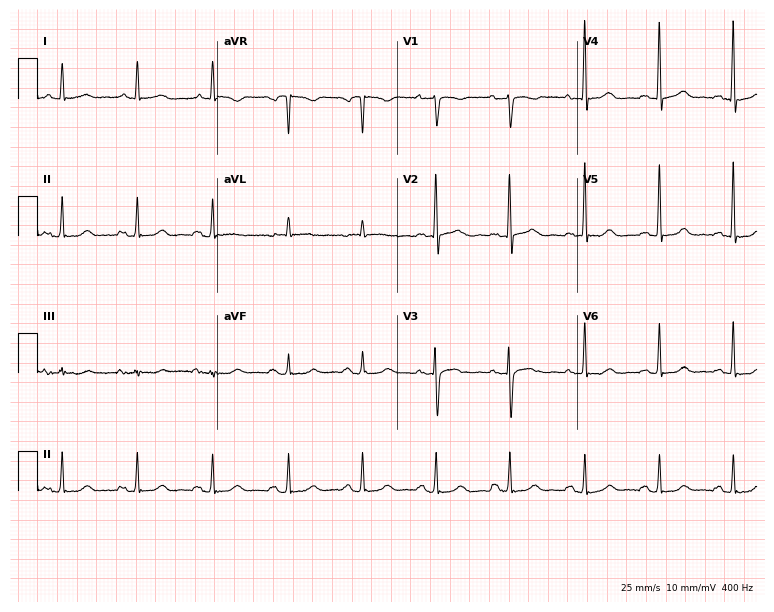
Standard 12-lead ECG recorded from a woman, 71 years old. Read as a normal ECG.